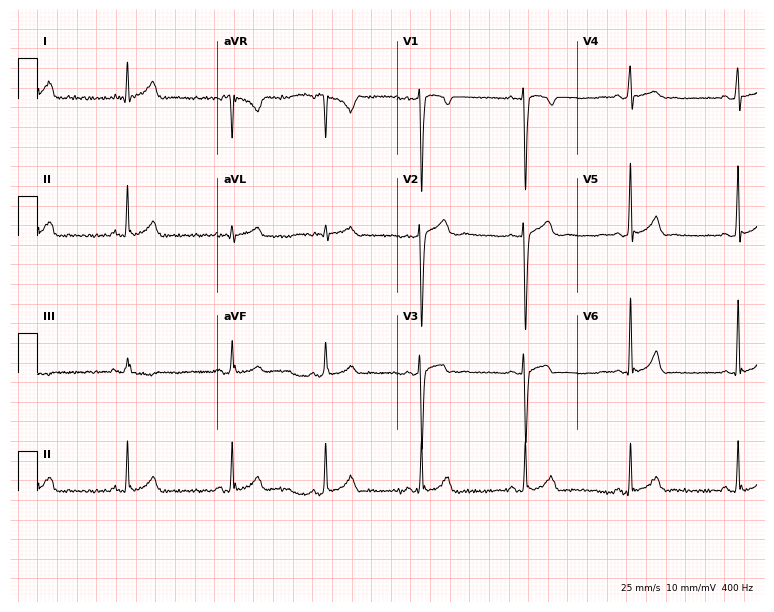
Electrocardiogram, a man, 27 years old. Of the six screened findings (first-degree AV block, right bundle branch block (RBBB), left bundle branch block (LBBB), sinus bradycardia, atrial fibrillation (AF), sinus tachycardia), none is recorded. Only these six findings were labelled.